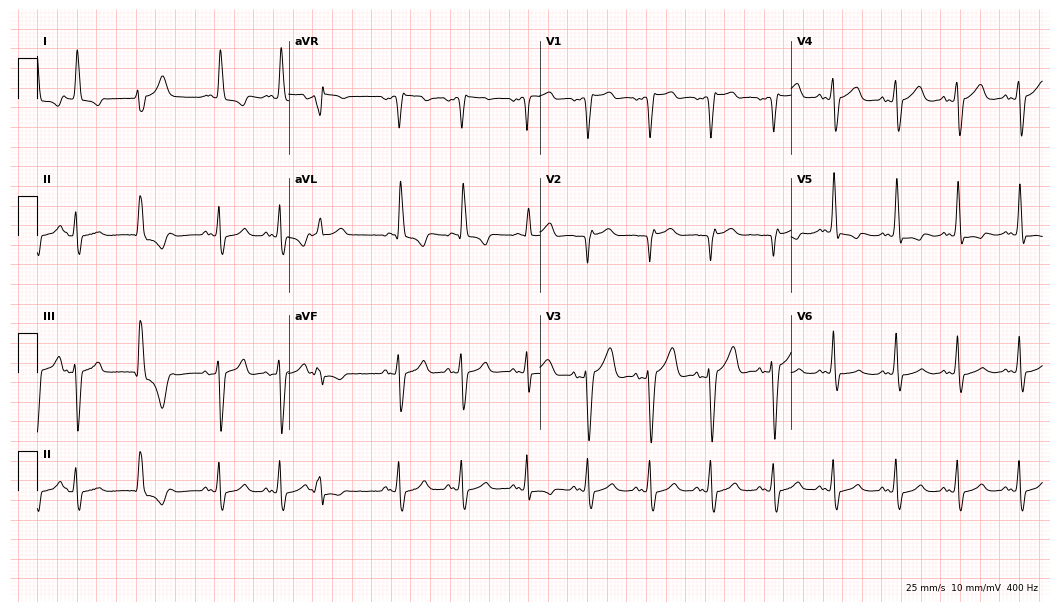
Standard 12-lead ECG recorded from a male patient, 86 years old. The tracing shows atrial fibrillation (AF).